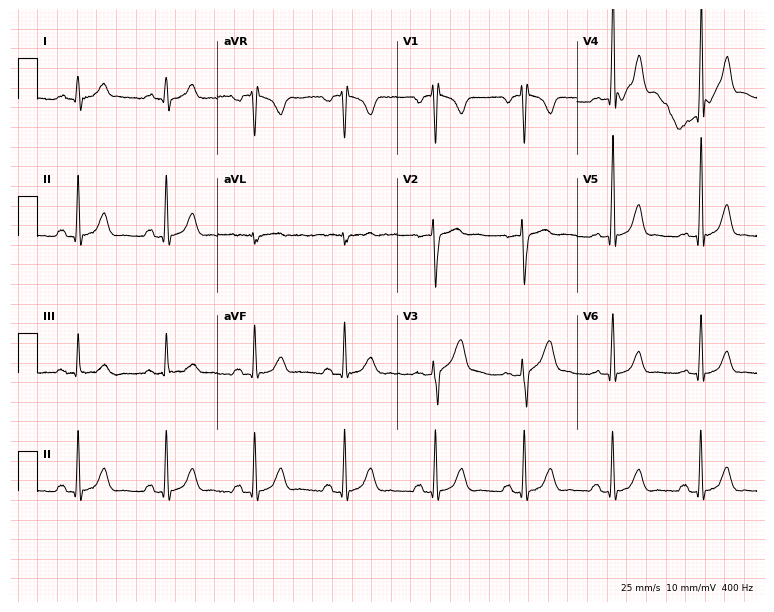
Resting 12-lead electrocardiogram. Patient: a 32-year-old man. None of these six findings is recorded: first-degree AV block, right bundle branch block, left bundle branch block, sinus bradycardia, atrial fibrillation, sinus tachycardia.